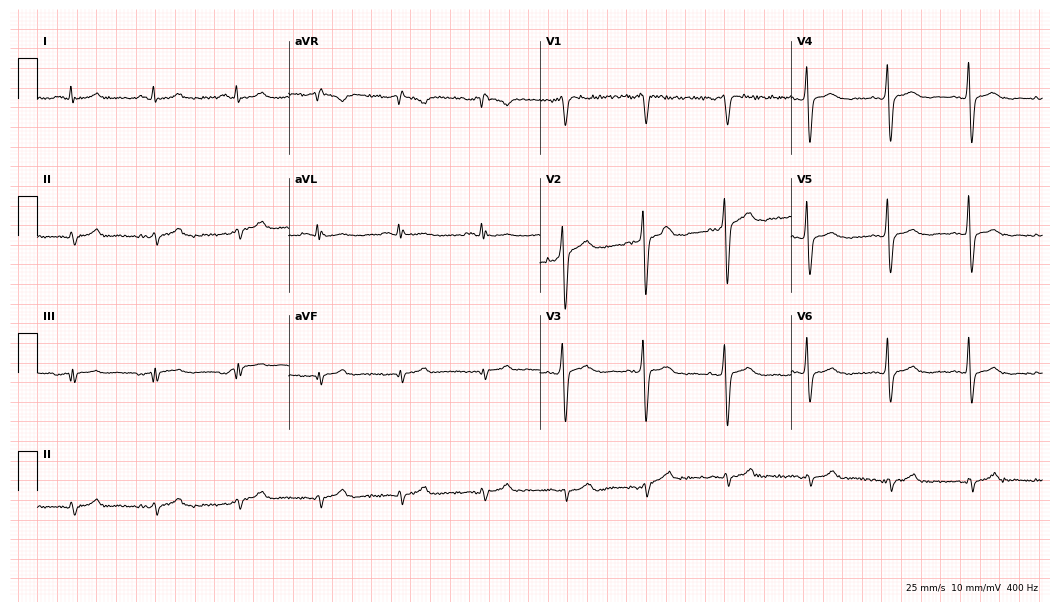
Resting 12-lead electrocardiogram. Patient: a 35-year-old man. None of these six findings is recorded: first-degree AV block, right bundle branch block, left bundle branch block, sinus bradycardia, atrial fibrillation, sinus tachycardia.